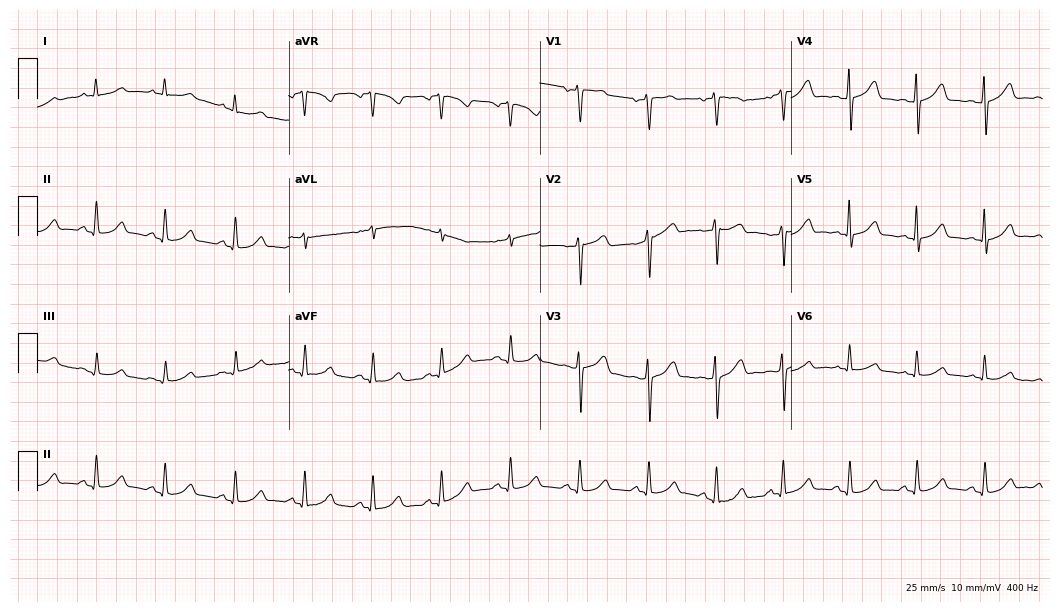
12-lead ECG from a 61-year-old female. Recorded interpretation: within normal limits.